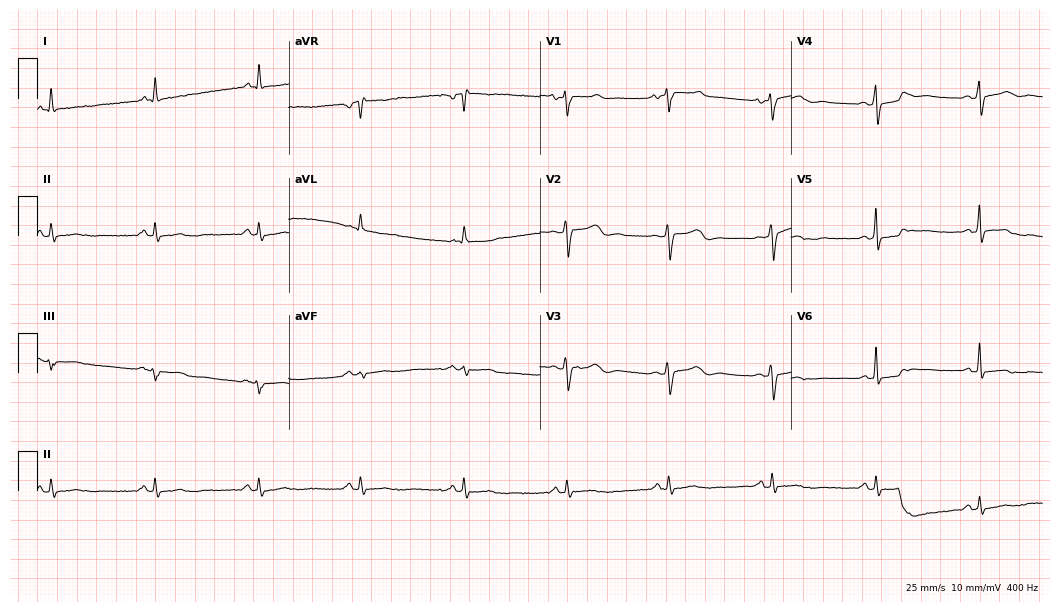
Electrocardiogram (10.2-second recording at 400 Hz), a 58-year-old woman. Overall reading on record: normal ECG.